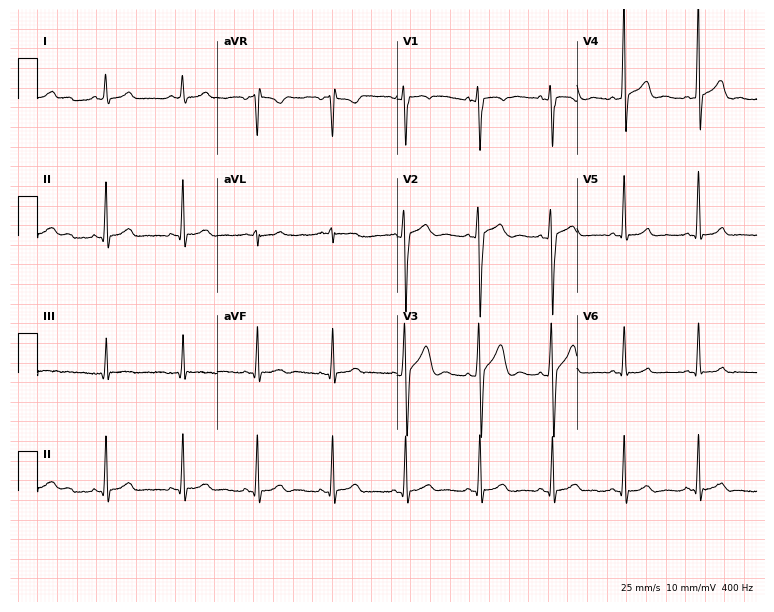
12-lead ECG (7.3-second recording at 400 Hz) from a 28-year-old male. Screened for six findings — first-degree AV block, right bundle branch block, left bundle branch block, sinus bradycardia, atrial fibrillation, sinus tachycardia — none is recorded. Other findings, if any, are not listed.